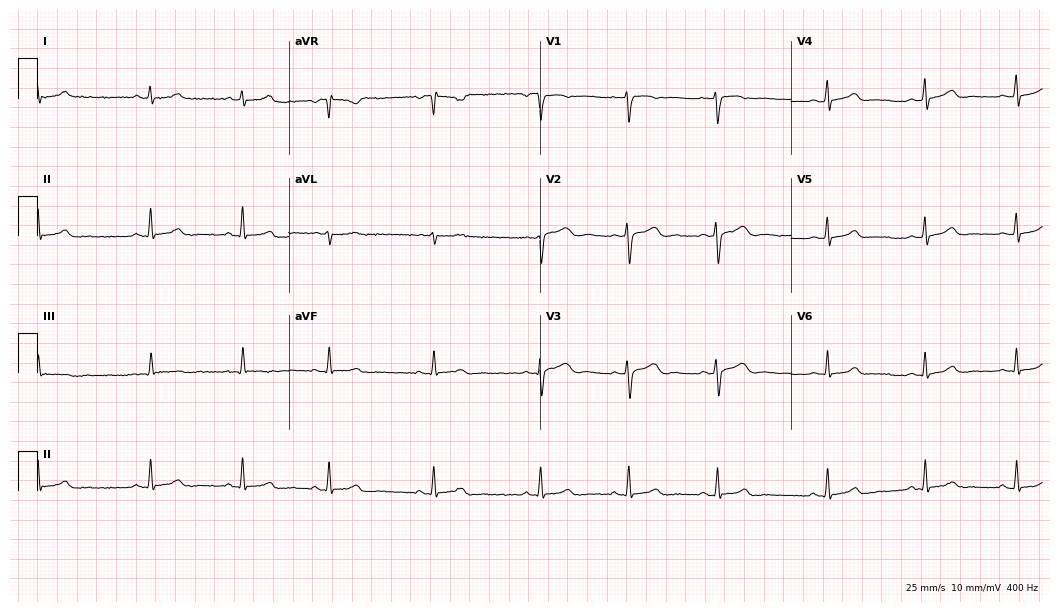
Resting 12-lead electrocardiogram. Patient: a female, 22 years old. None of these six findings is recorded: first-degree AV block, right bundle branch block, left bundle branch block, sinus bradycardia, atrial fibrillation, sinus tachycardia.